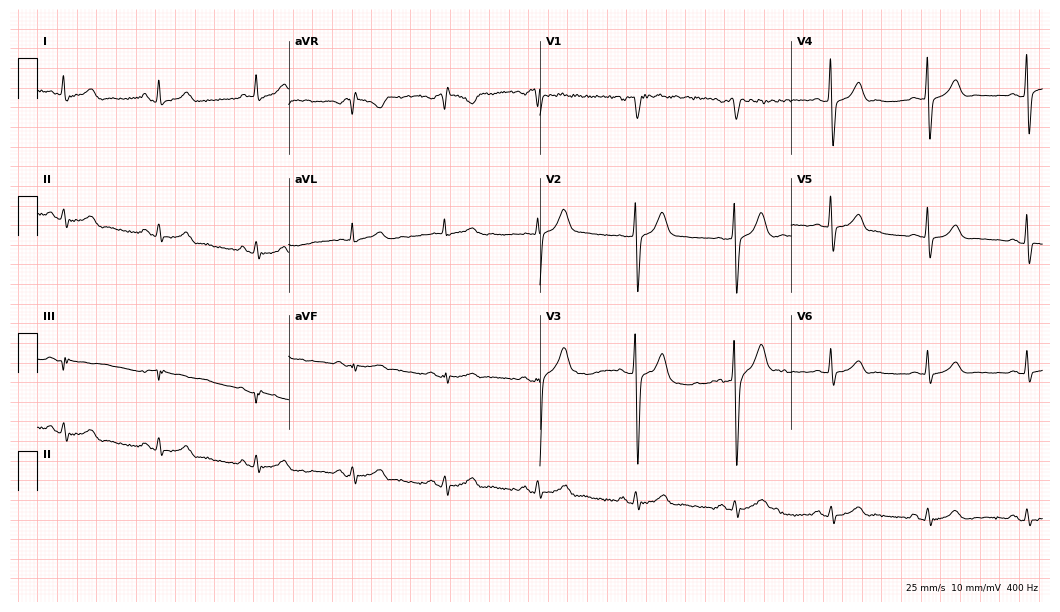
Standard 12-lead ECG recorded from a man, 44 years old. Read as a normal ECG.